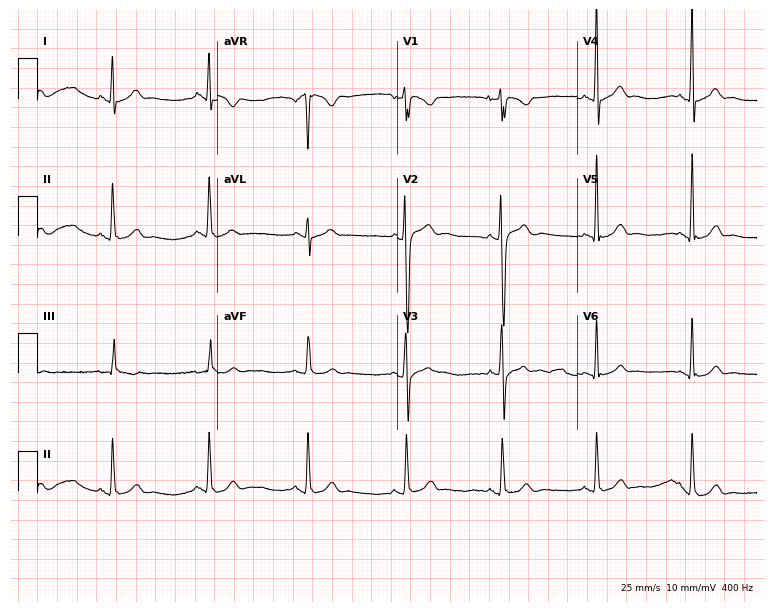
Electrocardiogram (7.3-second recording at 400 Hz), a male patient, 29 years old. Overall reading on record: normal ECG.